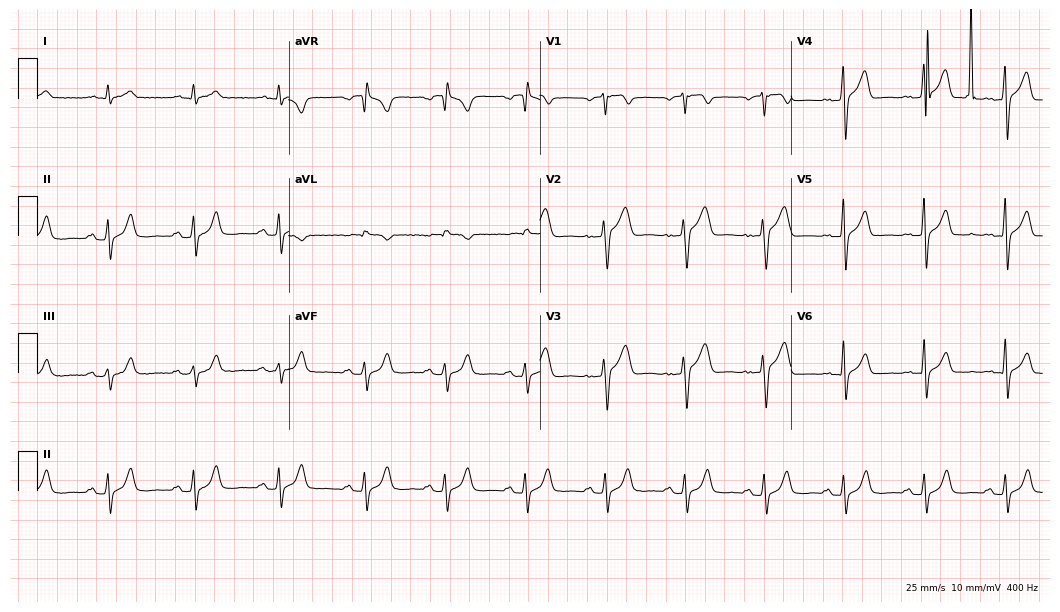
Standard 12-lead ECG recorded from a 38-year-old male patient (10.2-second recording at 400 Hz). Read as a normal ECG.